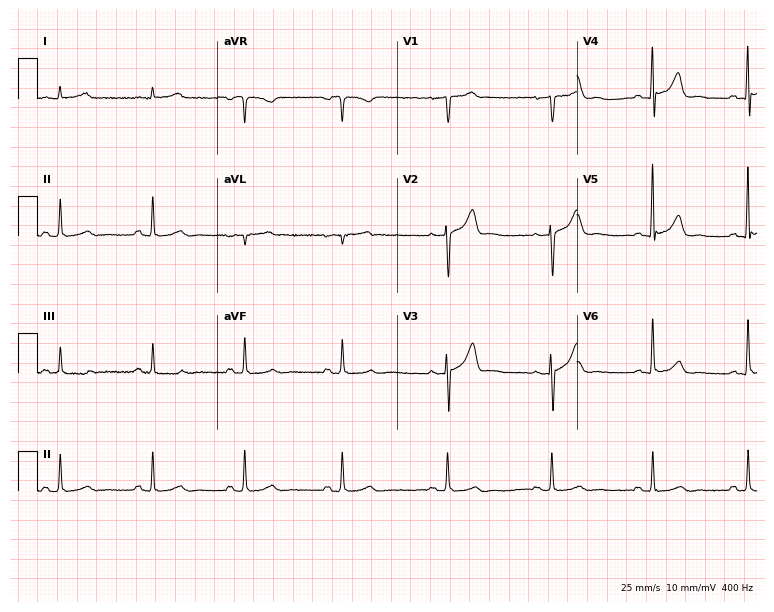
ECG (7.3-second recording at 400 Hz) — a 74-year-old male patient. Labelled as a normal ECG.